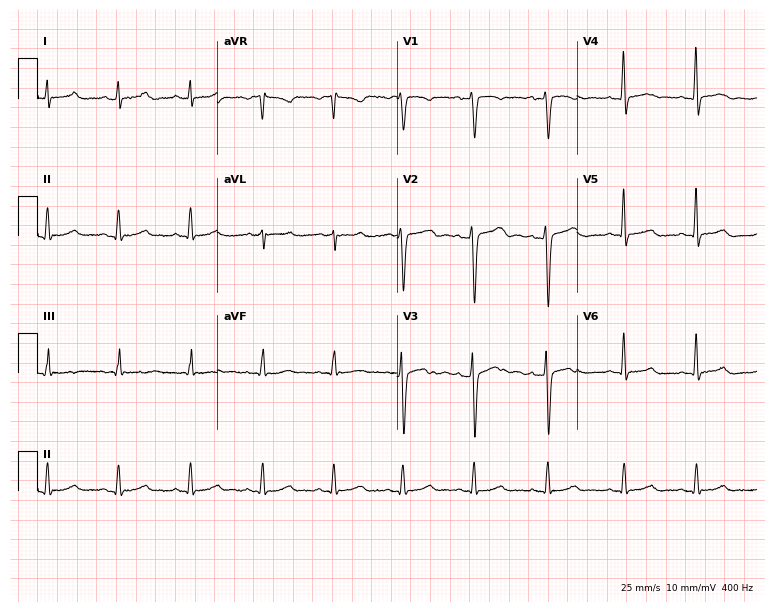
12-lead ECG from a 19-year-old woman. Labelled as a normal ECG.